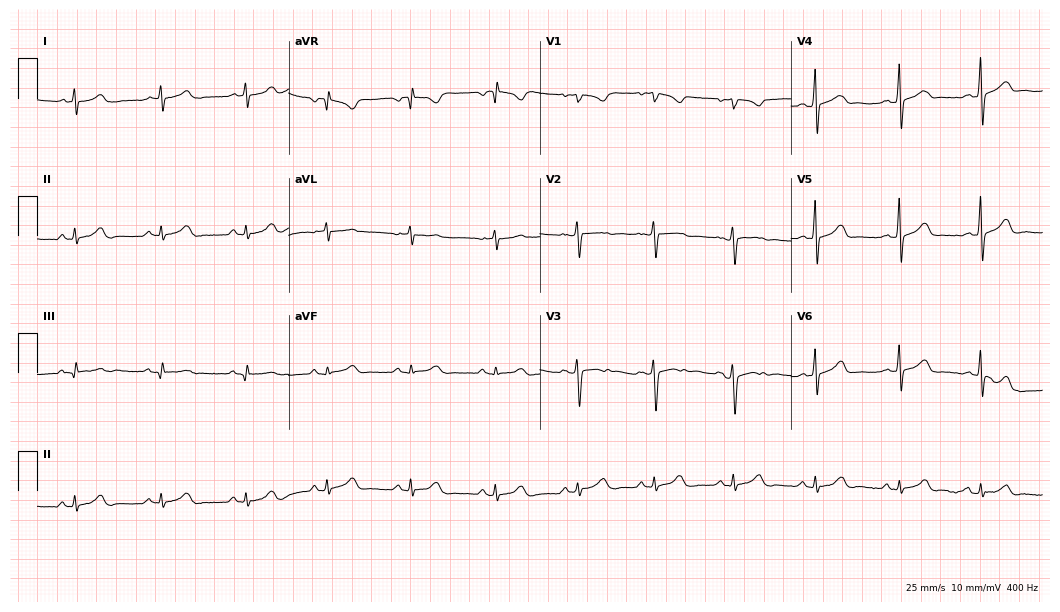
12-lead ECG (10.2-second recording at 400 Hz) from a woman, 18 years old. Labelled as a normal ECG.